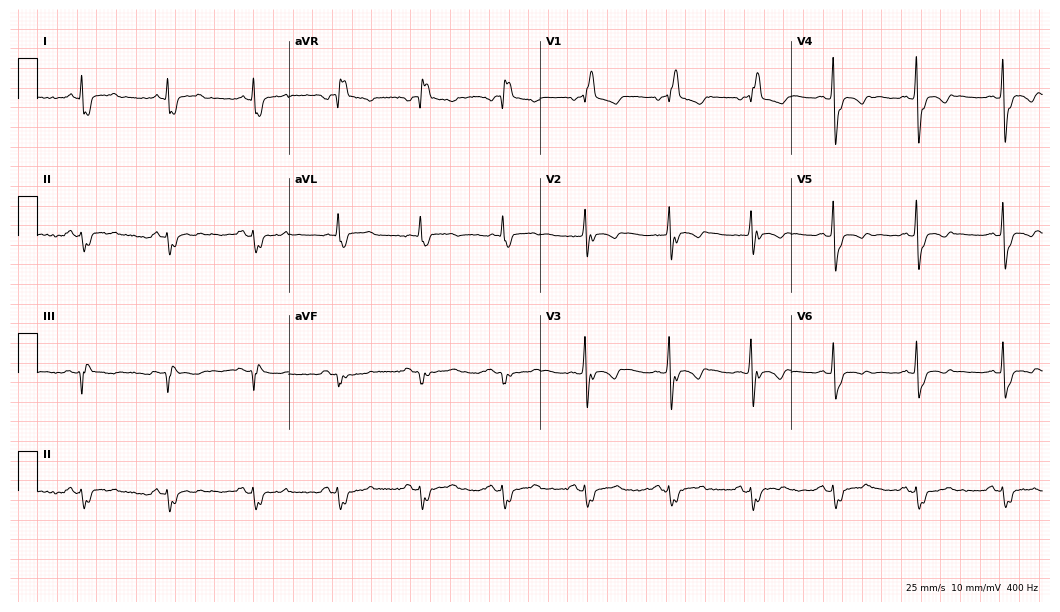
Standard 12-lead ECG recorded from a 35-year-old man (10.2-second recording at 400 Hz). None of these six findings is recorded: first-degree AV block, right bundle branch block, left bundle branch block, sinus bradycardia, atrial fibrillation, sinus tachycardia.